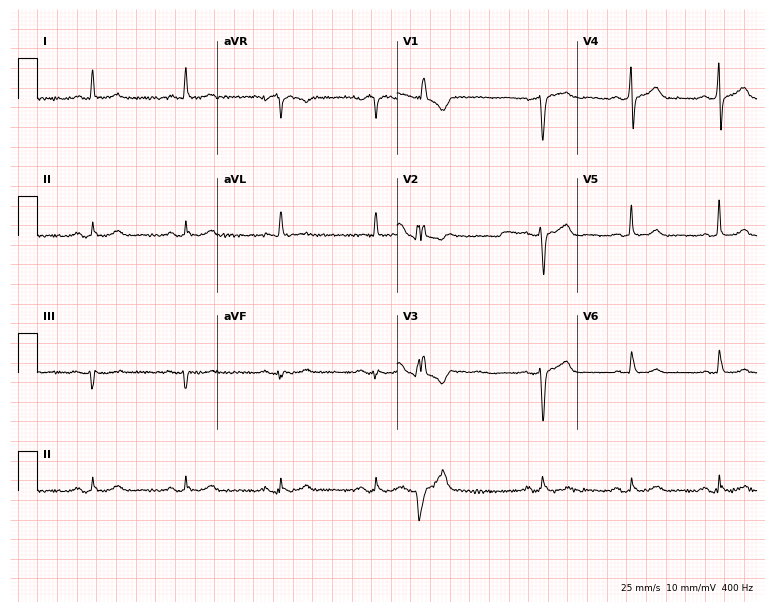
12-lead ECG (7.3-second recording at 400 Hz) from a man, 65 years old. Labelled as a normal ECG.